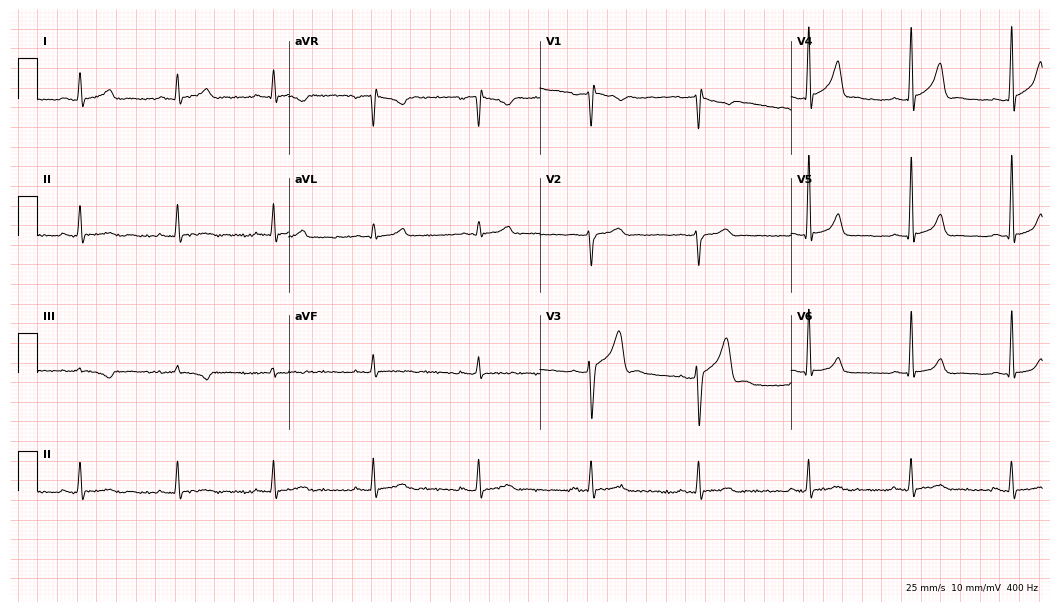
Electrocardiogram, a male, 27 years old. Of the six screened findings (first-degree AV block, right bundle branch block, left bundle branch block, sinus bradycardia, atrial fibrillation, sinus tachycardia), none is recorded. Only these six findings were labelled.